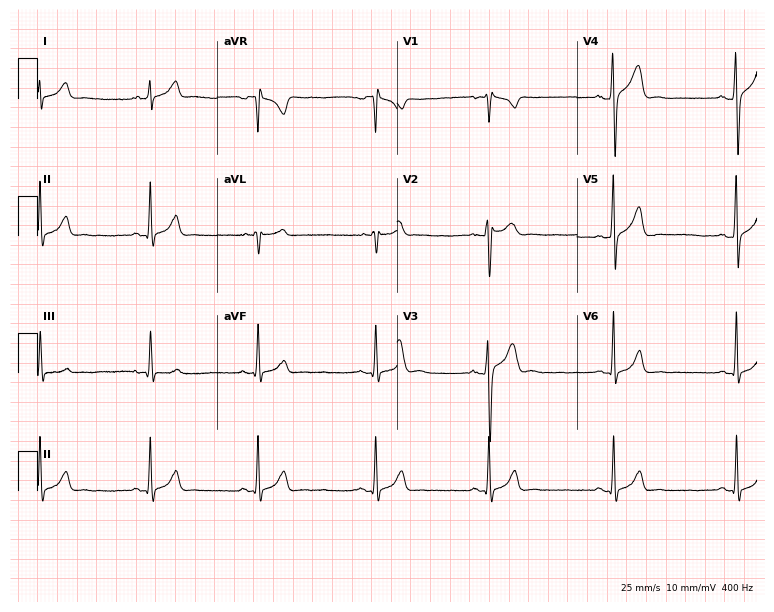
12-lead ECG from a man, 17 years old (7.3-second recording at 400 Hz). No first-degree AV block, right bundle branch block, left bundle branch block, sinus bradycardia, atrial fibrillation or sinus tachycardia recorded for this tracing.